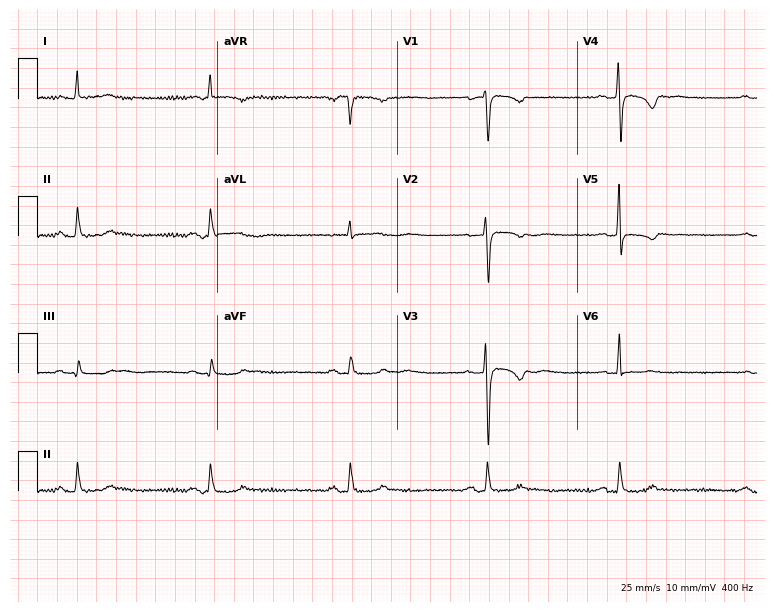
Standard 12-lead ECG recorded from a 39-year-old female patient. The tracing shows sinus bradycardia (a sinus rate of 50 beats per minute or less).